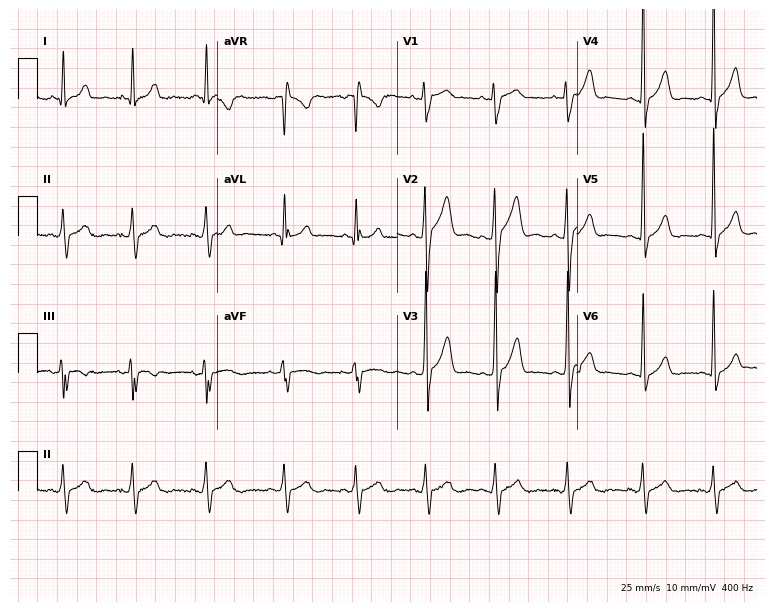
Electrocardiogram, a man, 22 years old. Overall reading on record: normal ECG.